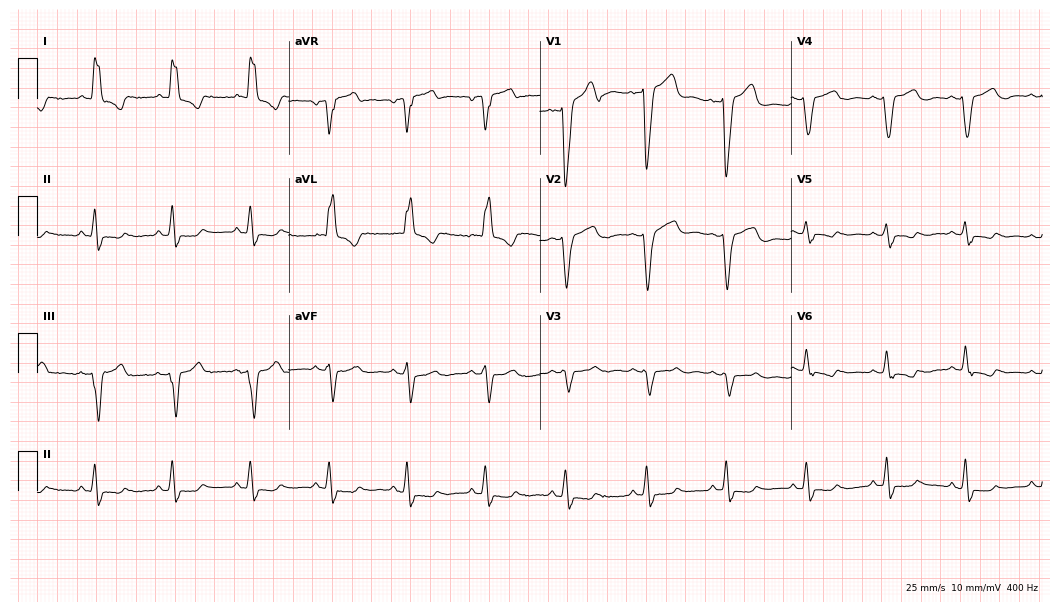
Resting 12-lead electrocardiogram (10.2-second recording at 400 Hz). Patient: a woman, 68 years old. The tracing shows left bundle branch block.